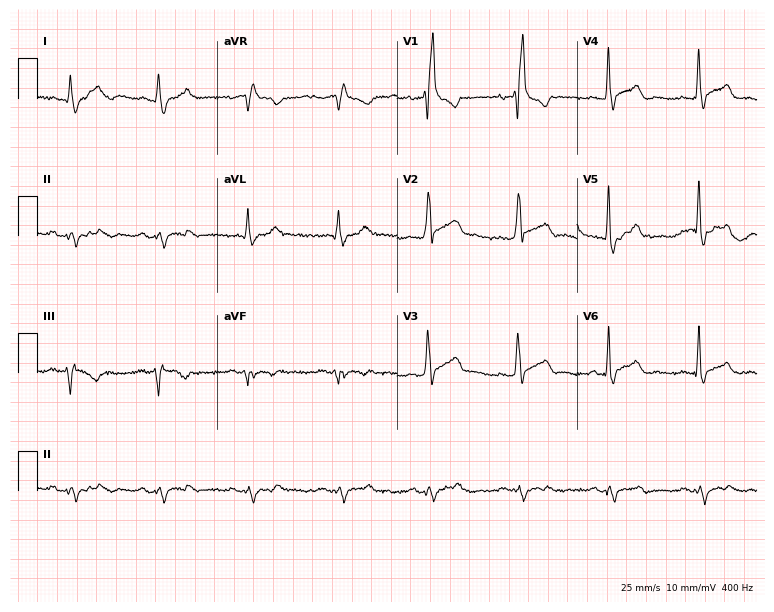
ECG — a 43-year-old male patient. Findings include right bundle branch block (RBBB).